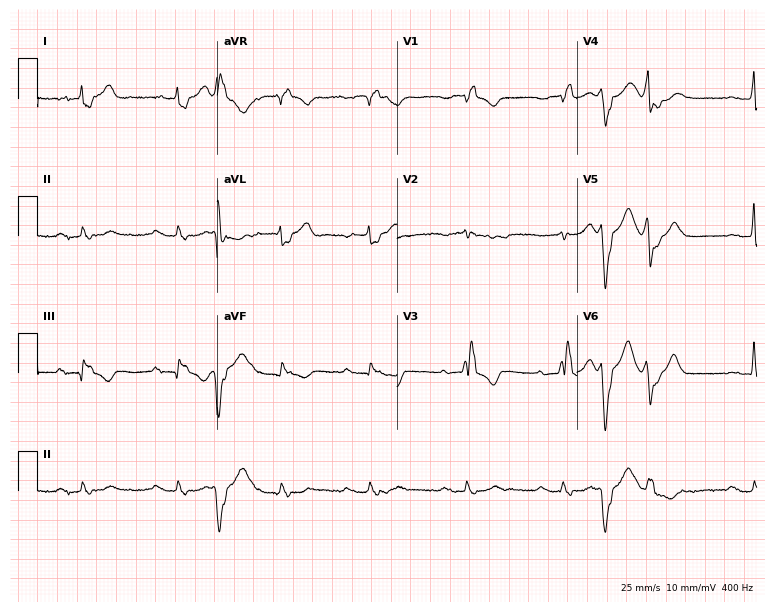
12-lead ECG from a woman, 79 years old. Findings include right bundle branch block.